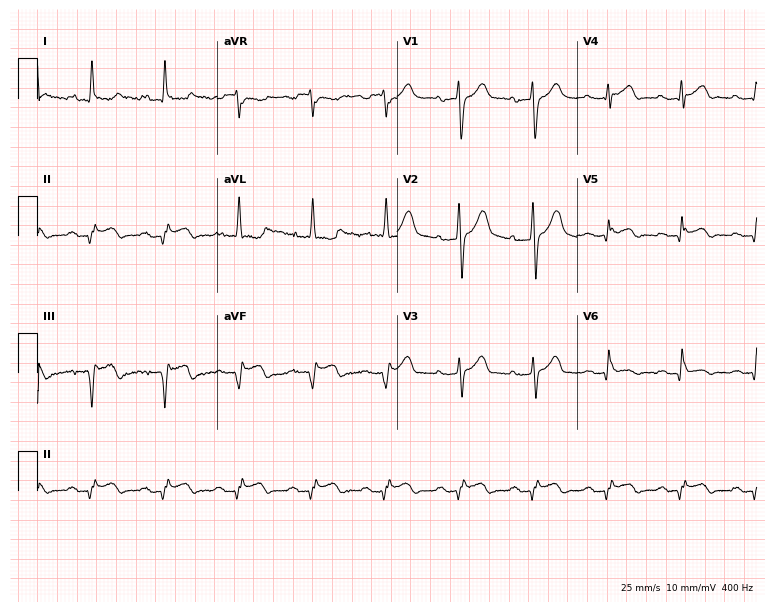
12-lead ECG (7.3-second recording at 400 Hz) from a 66-year-old male patient. Screened for six findings — first-degree AV block, right bundle branch block, left bundle branch block, sinus bradycardia, atrial fibrillation, sinus tachycardia — none is recorded.